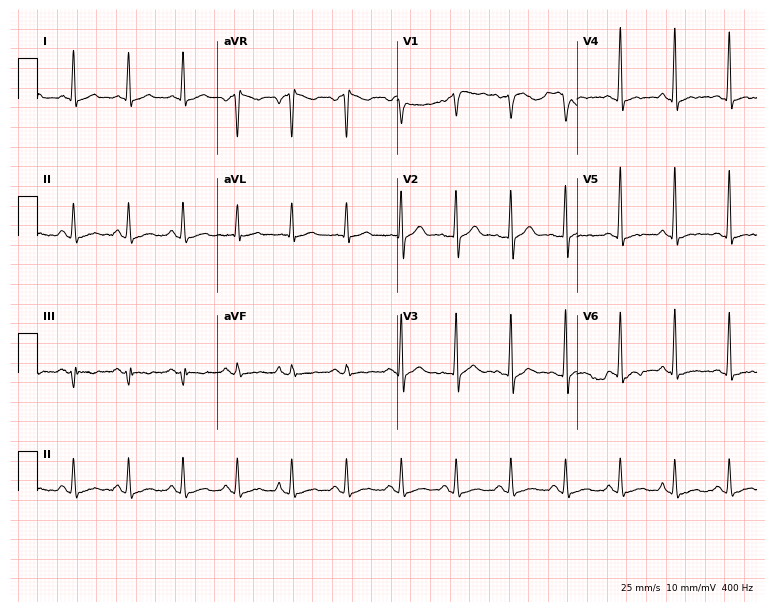
12-lead ECG from a man, 55 years old (7.3-second recording at 400 Hz). Shows sinus tachycardia (a sinus rate of 100 beats per minute or more).